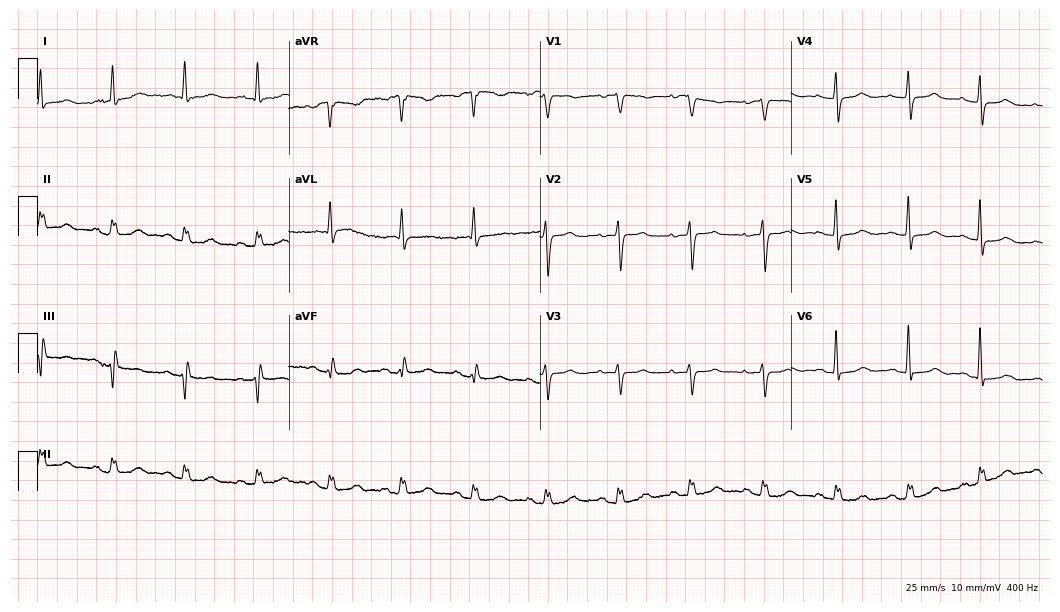
Standard 12-lead ECG recorded from a female patient, 76 years old. Read as a normal ECG.